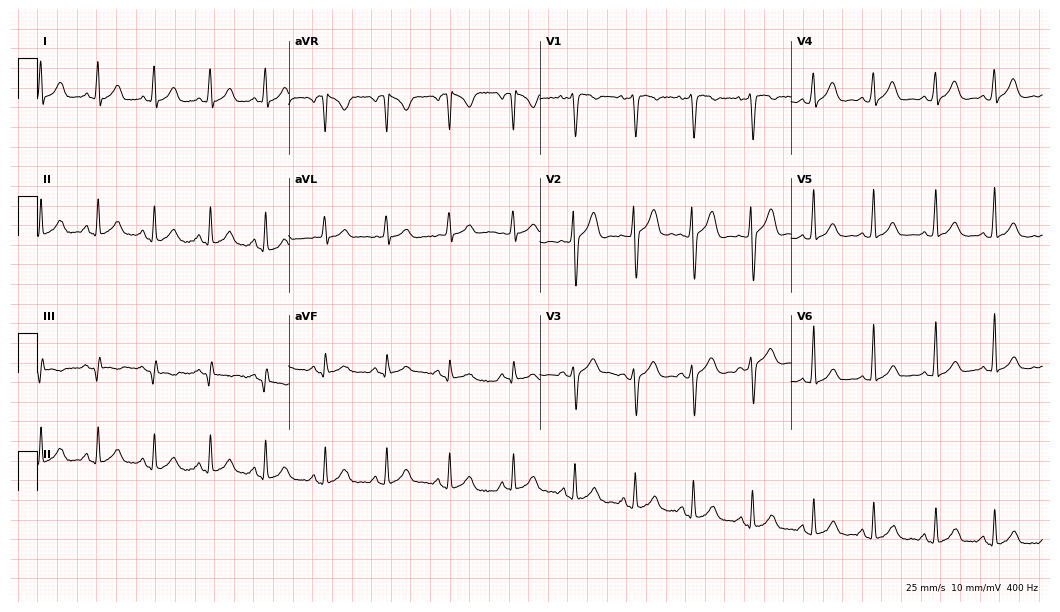
Electrocardiogram (10.2-second recording at 400 Hz), a female patient, 39 years old. Overall reading on record: normal ECG.